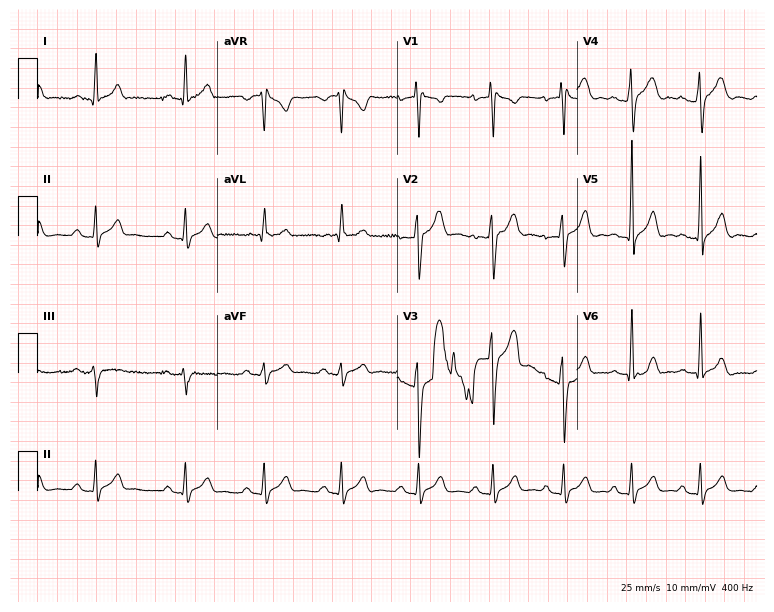
Standard 12-lead ECG recorded from a male patient, 20 years old. None of these six findings is recorded: first-degree AV block, right bundle branch block (RBBB), left bundle branch block (LBBB), sinus bradycardia, atrial fibrillation (AF), sinus tachycardia. Other findings, if any, are not listed.